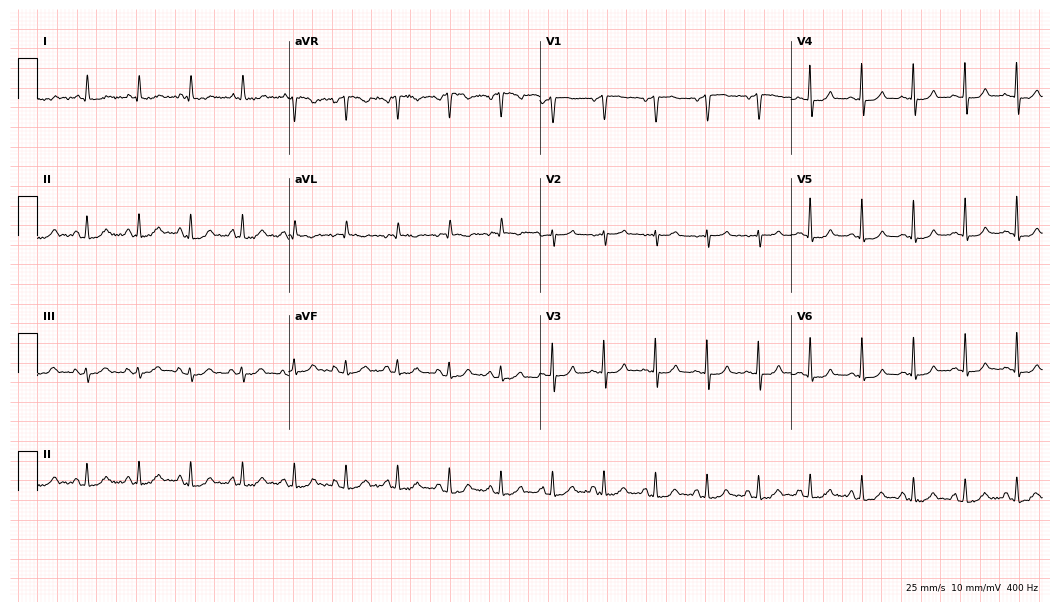
Resting 12-lead electrocardiogram (10.2-second recording at 400 Hz). Patient: a male, 70 years old. None of these six findings is recorded: first-degree AV block, right bundle branch block (RBBB), left bundle branch block (LBBB), sinus bradycardia, atrial fibrillation (AF), sinus tachycardia.